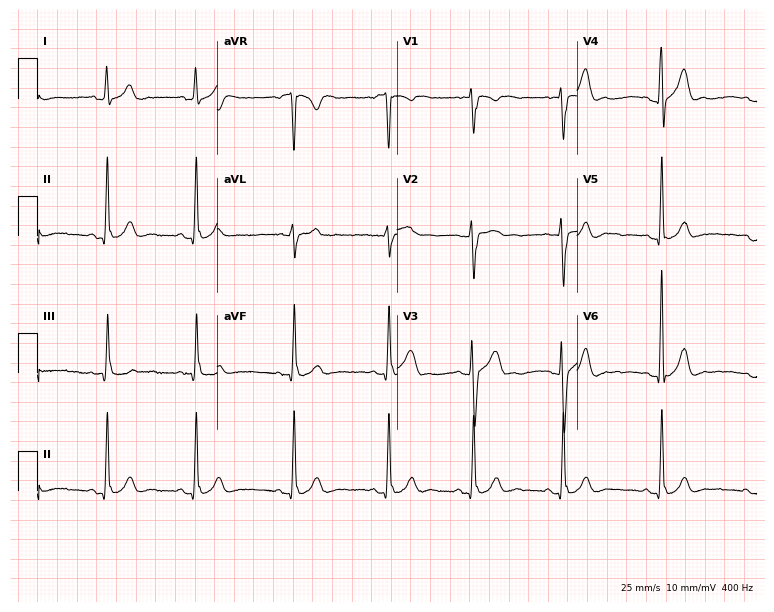
ECG (7.3-second recording at 400 Hz) — a male patient, 19 years old. Labelled as a normal ECG.